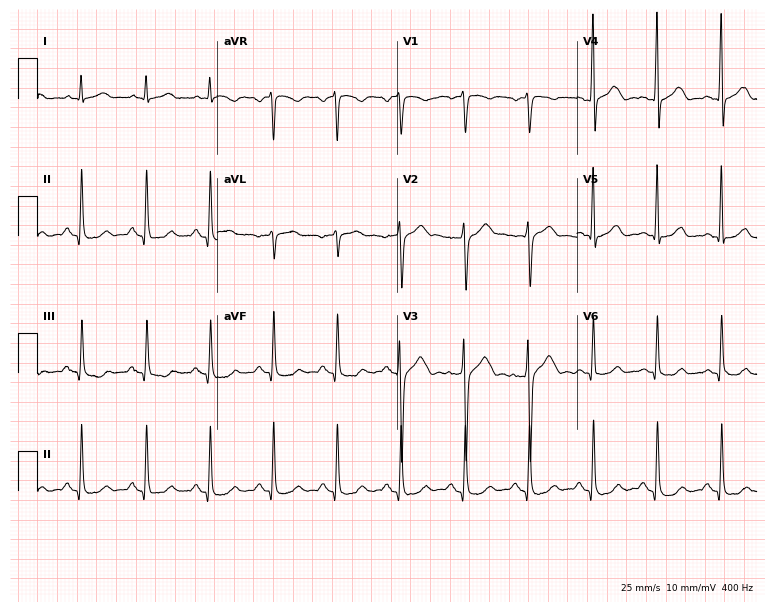
ECG — a man, 73 years old. Screened for six findings — first-degree AV block, right bundle branch block, left bundle branch block, sinus bradycardia, atrial fibrillation, sinus tachycardia — none is recorded.